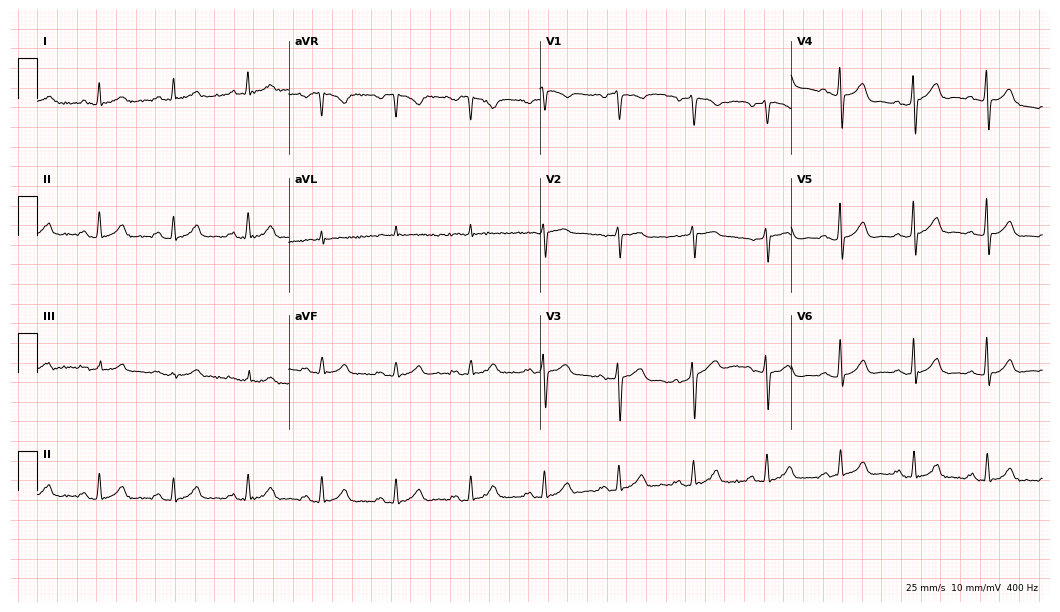
Resting 12-lead electrocardiogram. Patient: a 67-year-old male. Read as a normal ECG.